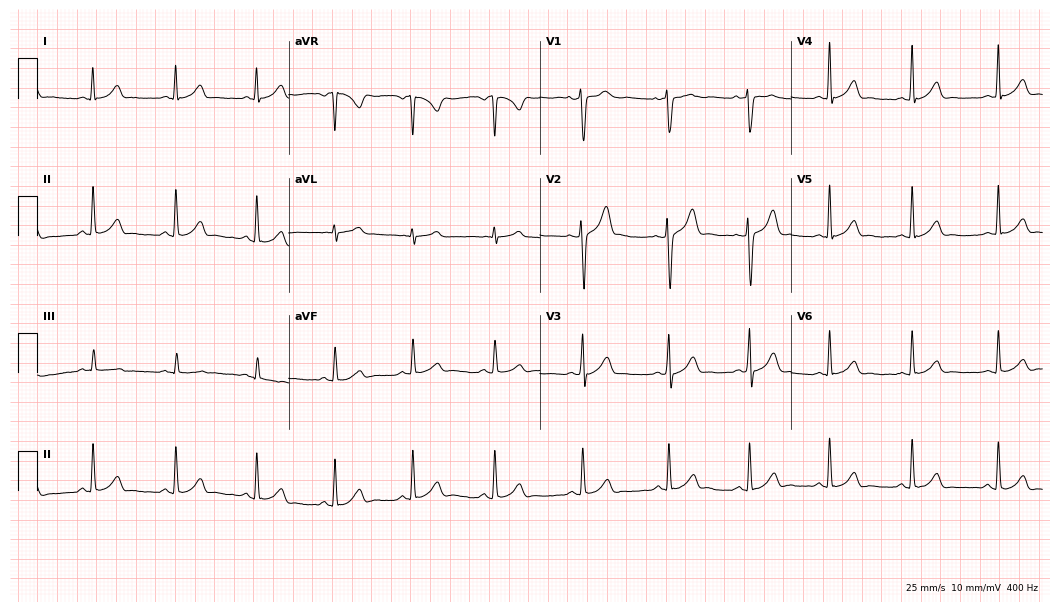
Resting 12-lead electrocardiogram. Patient: a male, 32 years old. Read as a normal ECG.